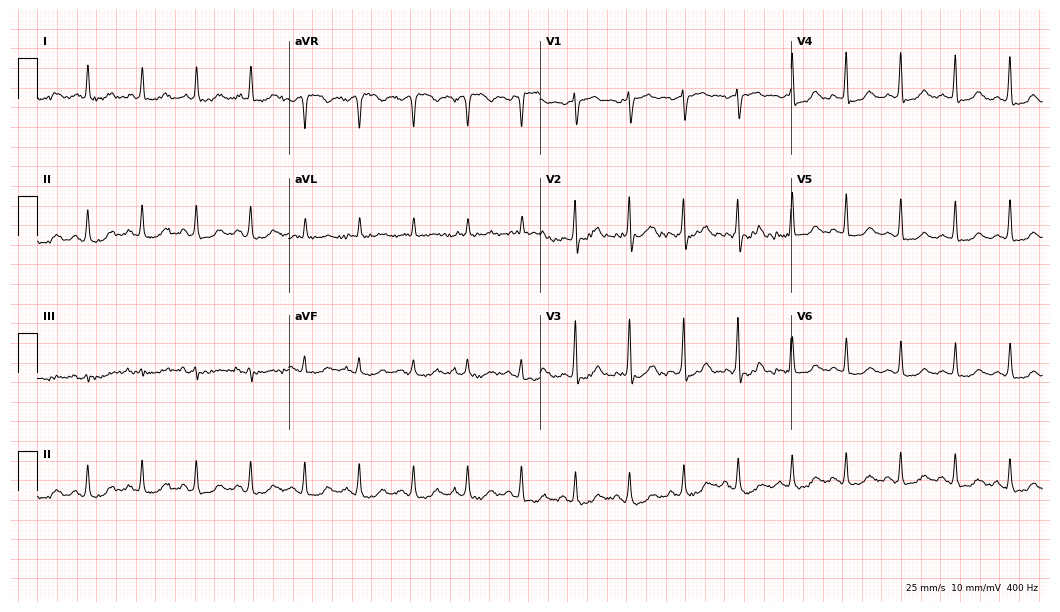
Standard 12-lead ECG recorded from an 86-year-old woman. The tracing shows sinus tachycardia (a sinus rate of 100 beats per minute or more).